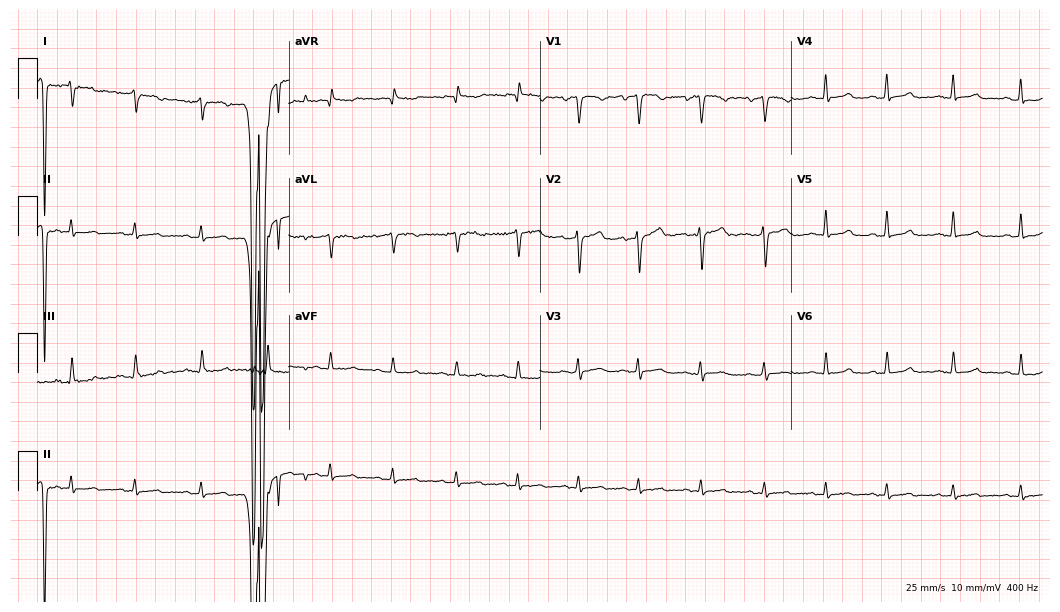
Electrocardiogram (10.2-second recording at 400 Hz), a female patient, 37 years old. Of the six screened findings (first-degree AV block, right bundle branch block (RBBB), left bundle branch block (LBBB), sinus bradycardia, atrial fibrillation (AF), sinus tachycardia), none is recorded.